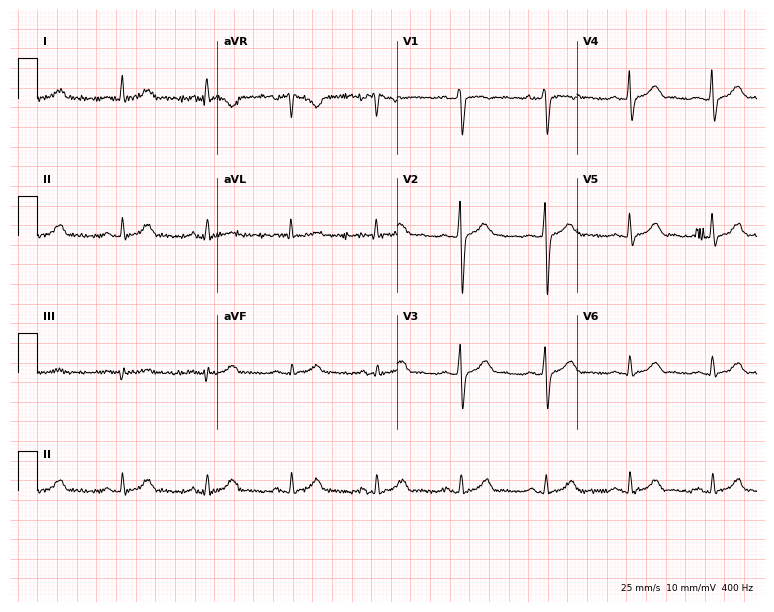
ECG — a 31-year-old male. Labelled as a normal ECG.